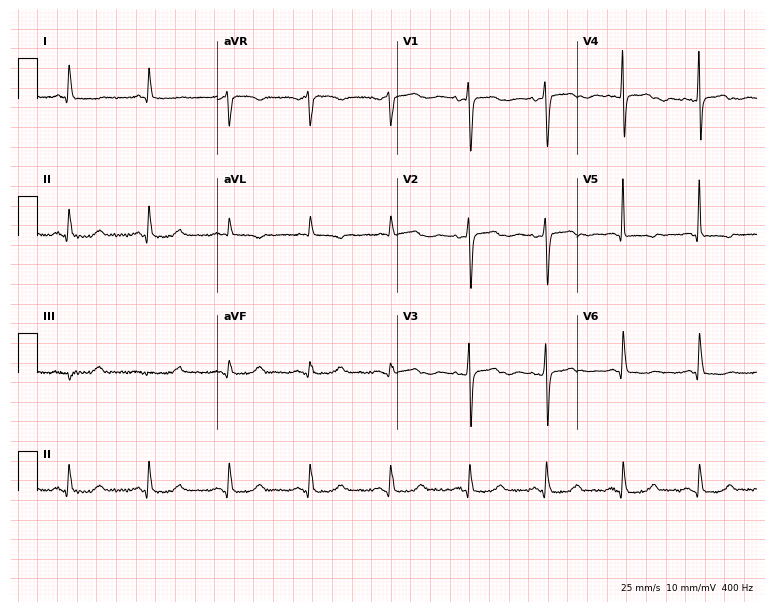
Electrocardiogram (7.3-second recording at 400 Hz), a 77-year-old female patient. Of the six screened findings (first-degree AV block, right bundle branch block (RBBB), left bundle branch block (LBBB), sinus bradycardia, atrial fibrillation (AF), sinus tachycardia), none is recorded.